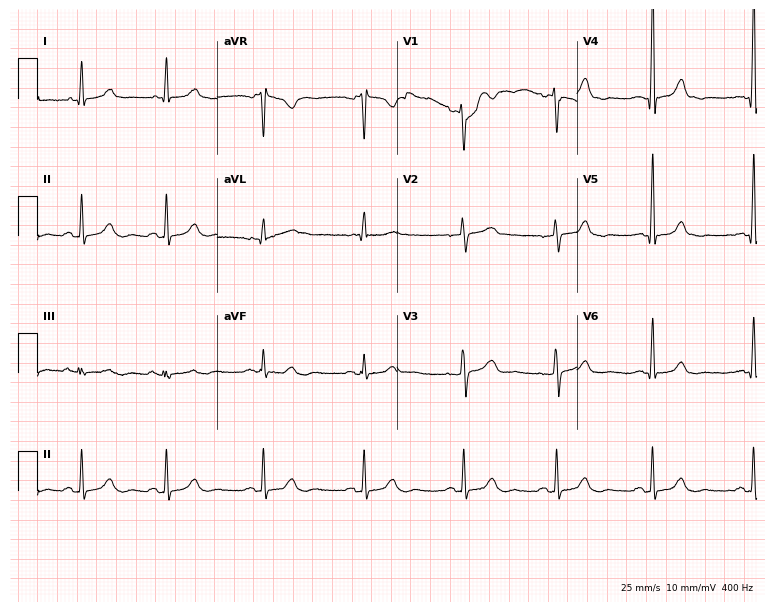
12-lead ECG from a 43-year-old female patient (7.3-second recording at 400 Hz). Recorded interpretation: within normal limits.